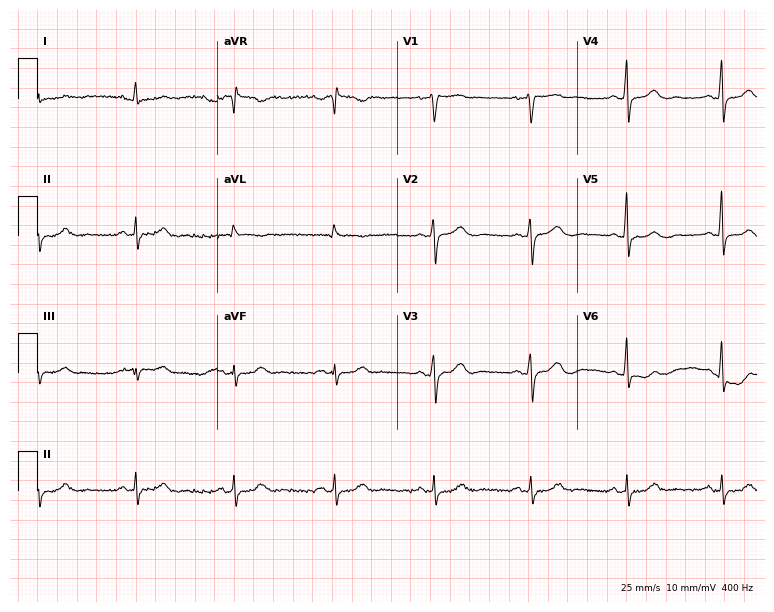
12-lead ECG from a 52-year-old woman. Recorded interpretation: within normal limits.